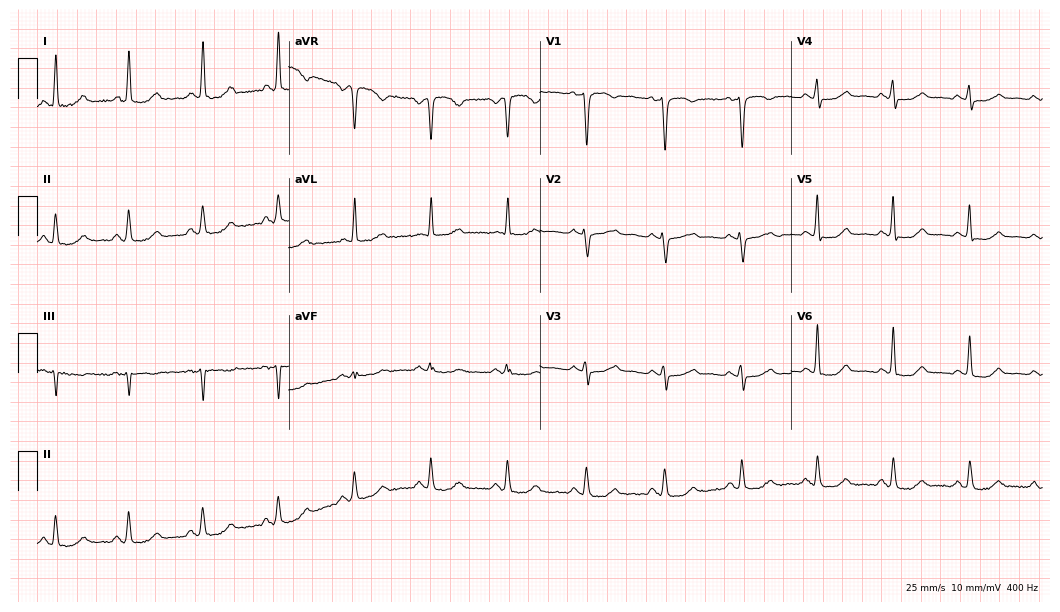
12-lead ECG from a female, 57 years old. Screened for six findings — first-degree AV block, right bundle branch block, left bundle branch block, sinus bradycardia, atrial fibrillation, sinus tachycardia — none is recorded.